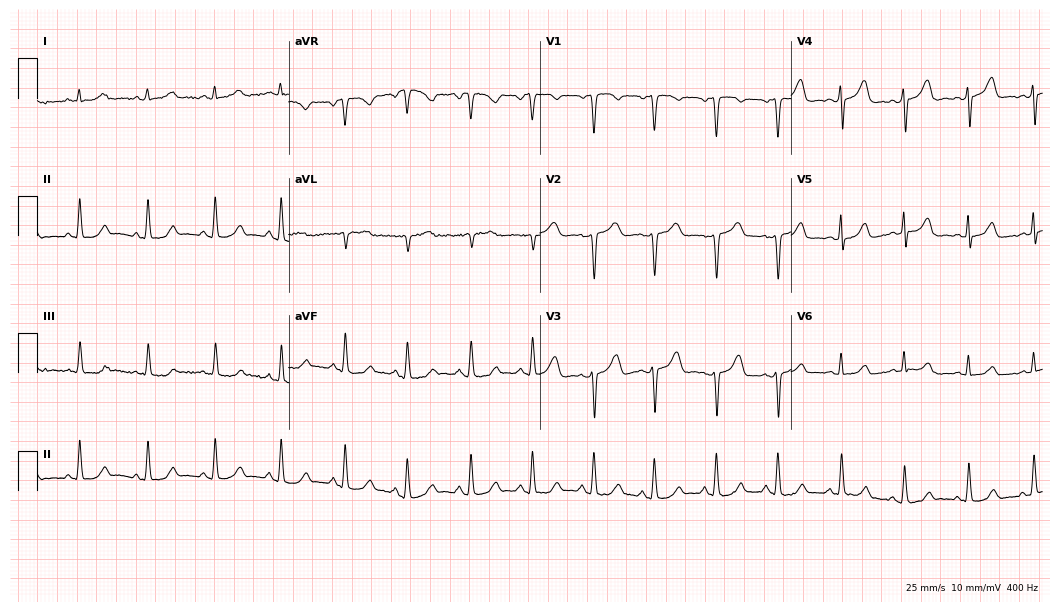
Electrocardiogram, a female, 42 years old. Overall reading on record: normal ECG.